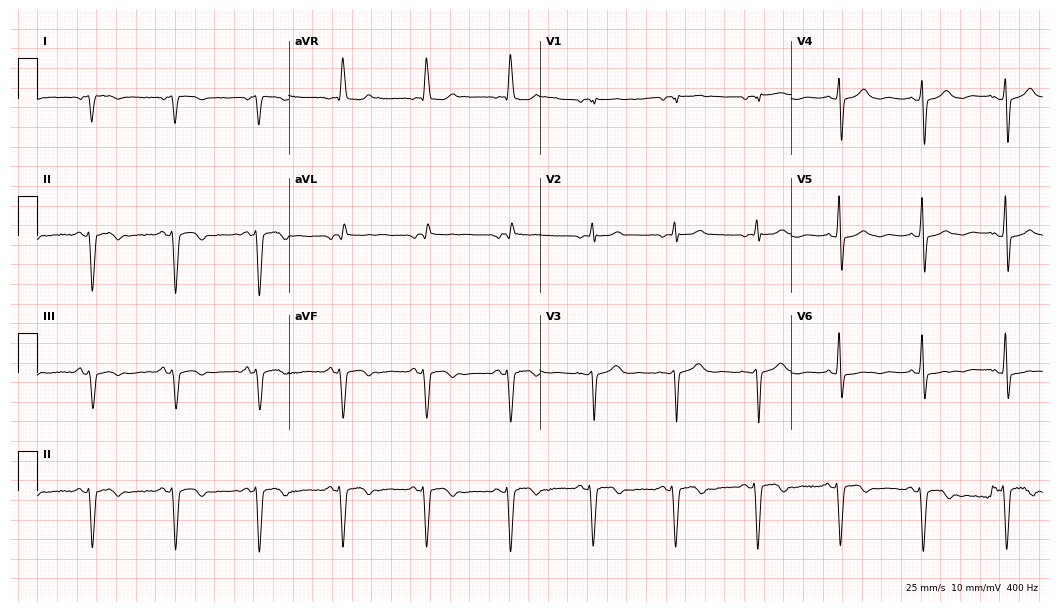
12-lead ECG from a 71-year-old female patient (10.2-second recording at 400 Hz). No first-degree AV block, right bundle branch block, left bundle branch block, sinus bradycardia, atrial fibrillation or sinus tachycardia recorded for this tracing.